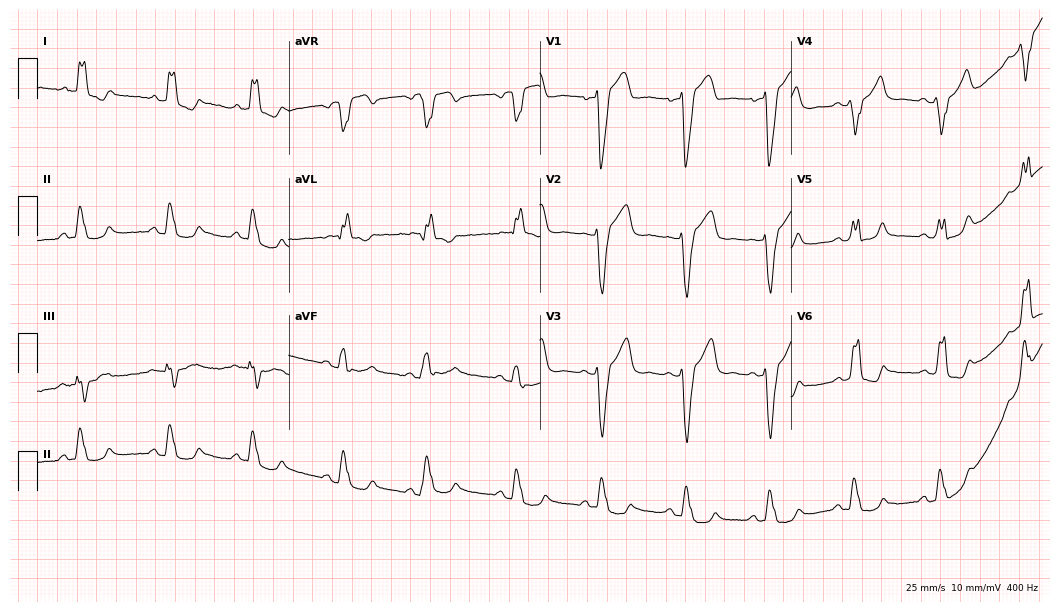
12-lead ECG (10.2-second recording at 400 Hz) from a woman, 59 years old. Findings include left bundle branch block (LBBB).